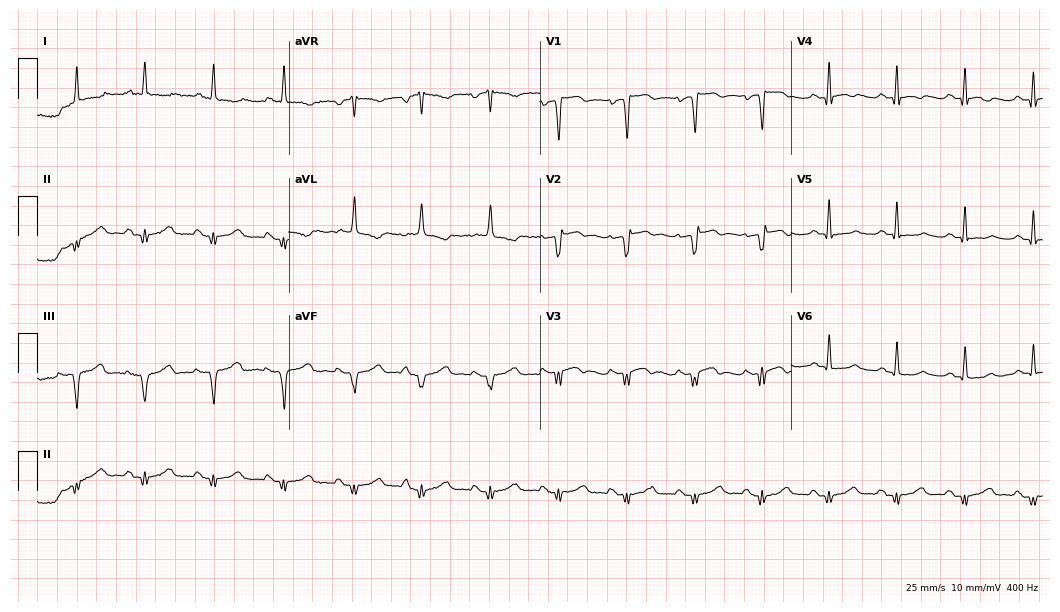
ECG (10.2-second recording at 400 Hz) — a female, 81 years old. Screened for six findings — first-degree AV block, right bundle branch block, left bundle branch block, sinus bradycardia, atrial fibrillation, sinus tachycardia — none is recorded.